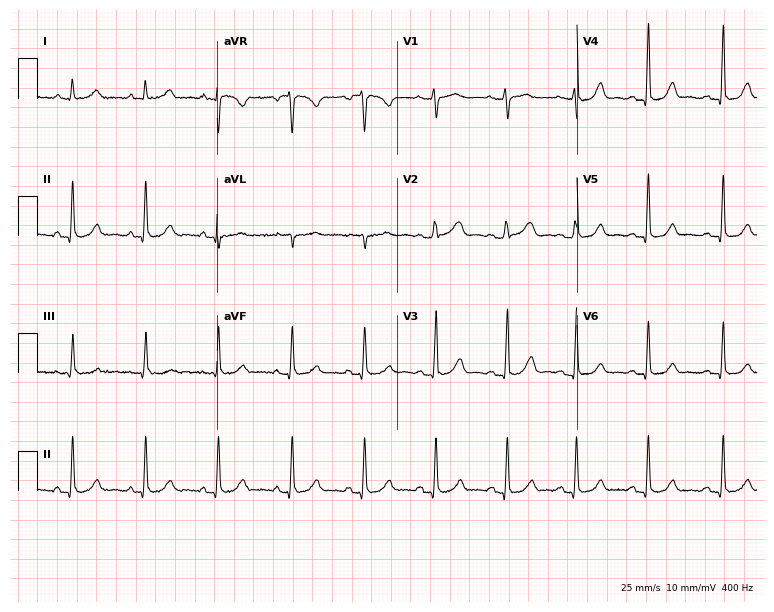
Resting 12-lead electrocardiogram (7.3-second recording at 400 Hz). Patient: a 48-year-old woman. Read as a normal ECG.